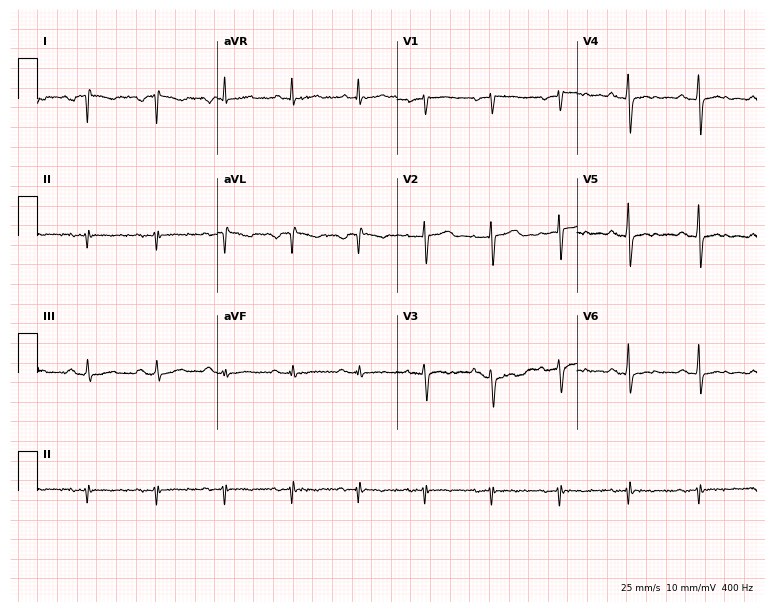
Resting 12-lead electrocardiogram (7.3-second recording at 400 Hz). Patient: a 68-year-old male. None of these six findings is recorded: first-degree AV block, right bundle branch block, left bundle branch block, sinus bradycardia, atrial fibrillation, sinus tachycardia.